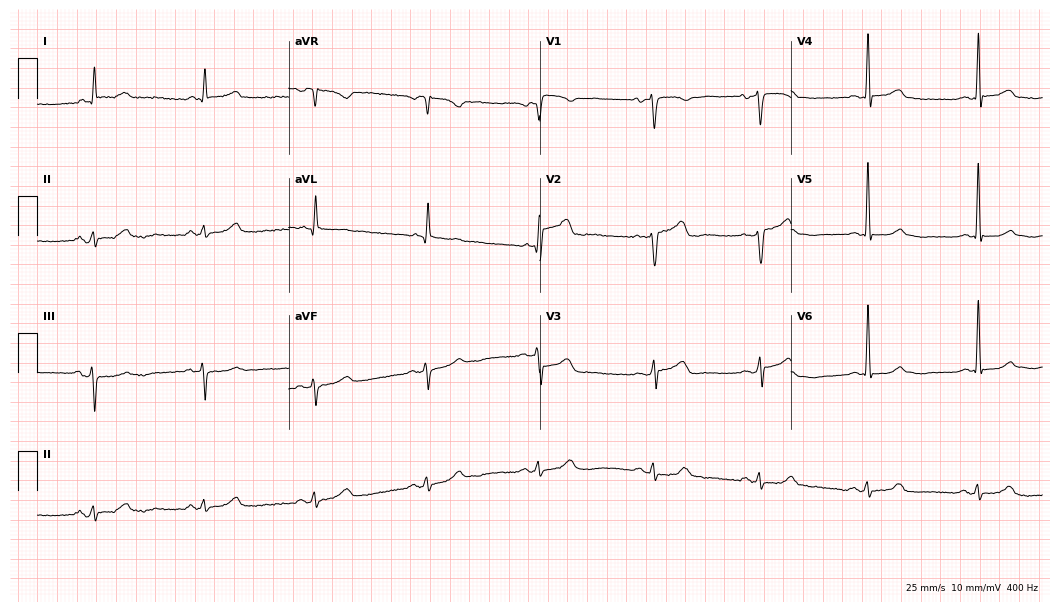
Standard 12-lead ECG recorded from a male patient, 64 years old (10.2-second recording at 400 Hz). None of these six findings is recorded: first-degree AV block, right bundle branch block, left bundle branch block, sinus bradycardia, atrial fibrillation, sinus tachycardia.